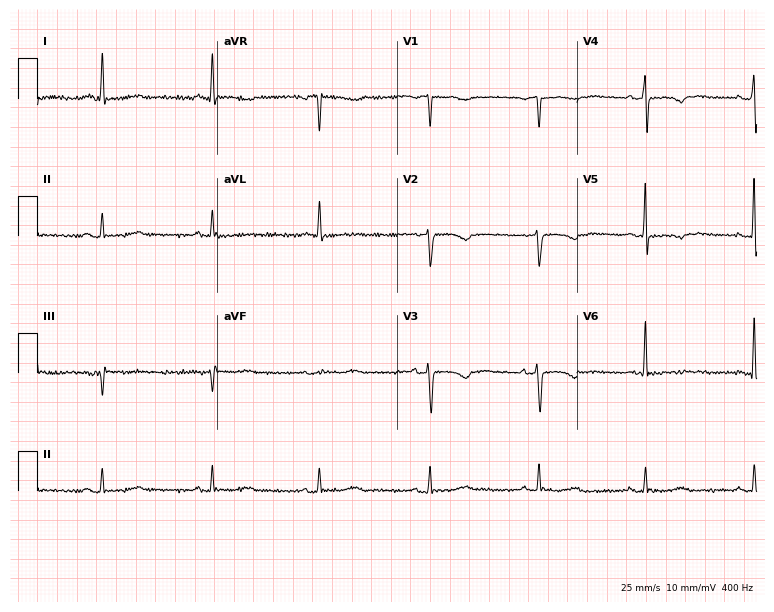
Electrocardiogram (7.3-second recording at 400 Hz), a female patient, 82 years old. Of the six screened findings (first-degree AV block, right bundle branch block, left bundle branch block, sinus bradycardia, atrial fibrillation, sinus tachycardia), none is recorded.